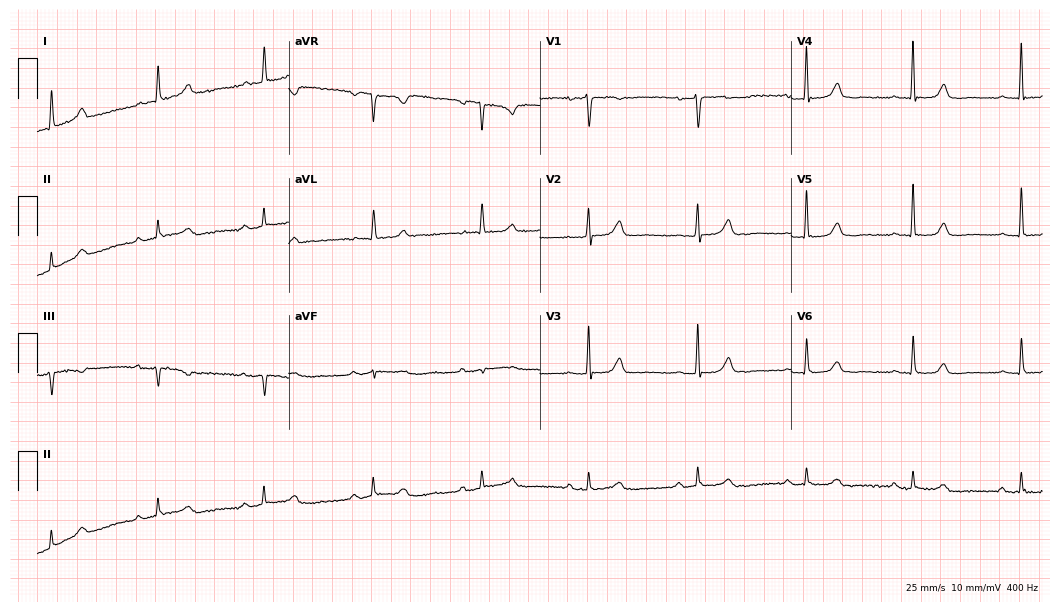
12-lead ECG from a female patient, 78 years old. Labelled as a normal ECG.